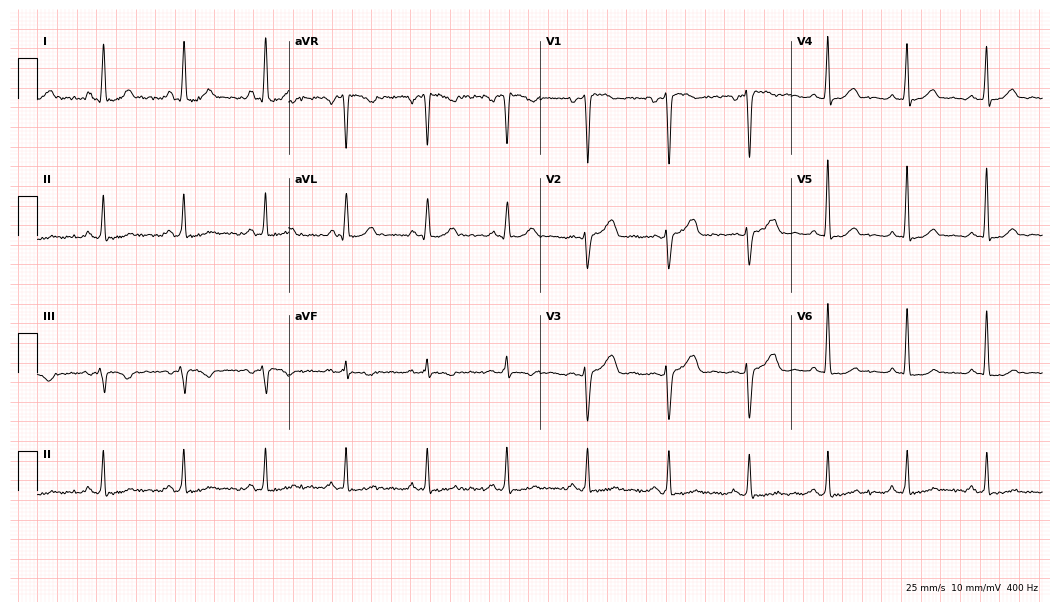
Standard 12-lead ECG recorded from a female, 37 years old (10.2-second recording at 400 Hz). None of these six findings is recorded: first-degree AV block, right bundle branch block, left bundle branch block, sinus bradycardia, atrial fibrillation, sinus tachycardia. Other findings, if any, are not listed.